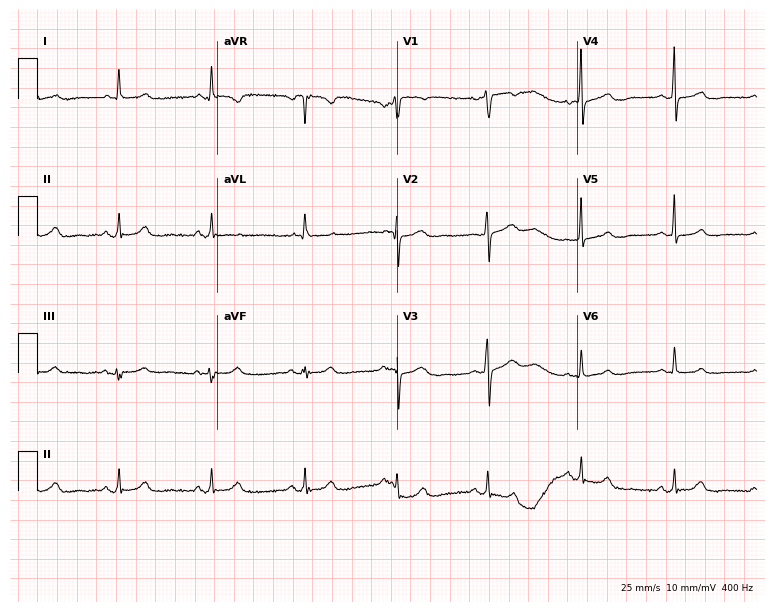
12-lead ECG (7.3-second recording at 400 Hz) from a woman, 77 years old. Screened for six findings — first-degree AV block, right bundle branch block, left bundle branch block, sinus bradycardia, atrial fibrillation, sinus tachycardia — none is recorded.